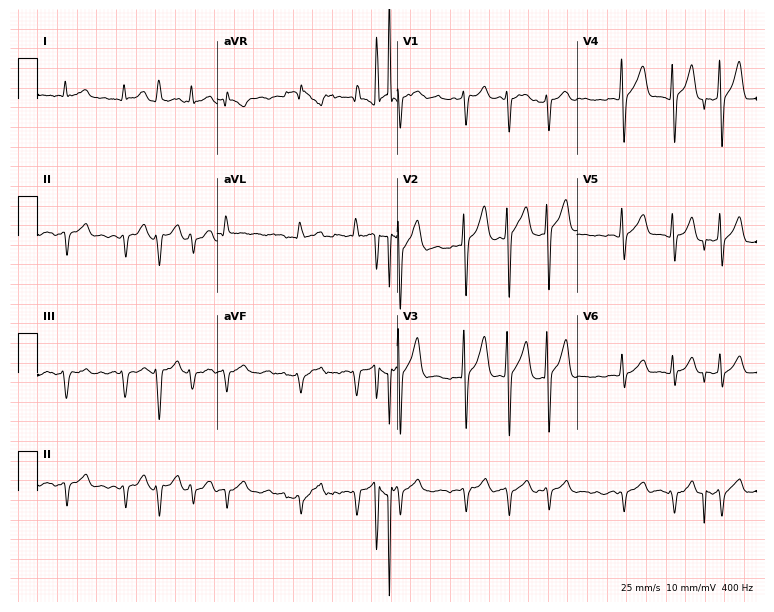
12-lead ECG from a 49-year-old male patient (7.3-second recording at 400 Hz). Shows atrial fibrillation (AF).